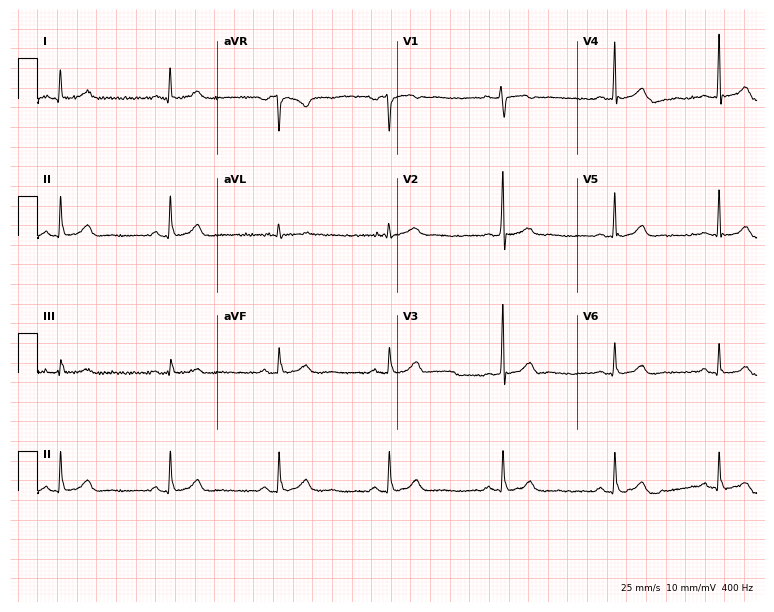
Standard 12-lead ECG recorded from a 25-year-old female patient (7.3-second recording at 400 Hz). None of these six findings is recorded: first-degree AV block, right bundle branch block, left bundle branch block, sinus bradycardia, atrial fibrillation, sinus tachycardia. Only these six findings were labelled.